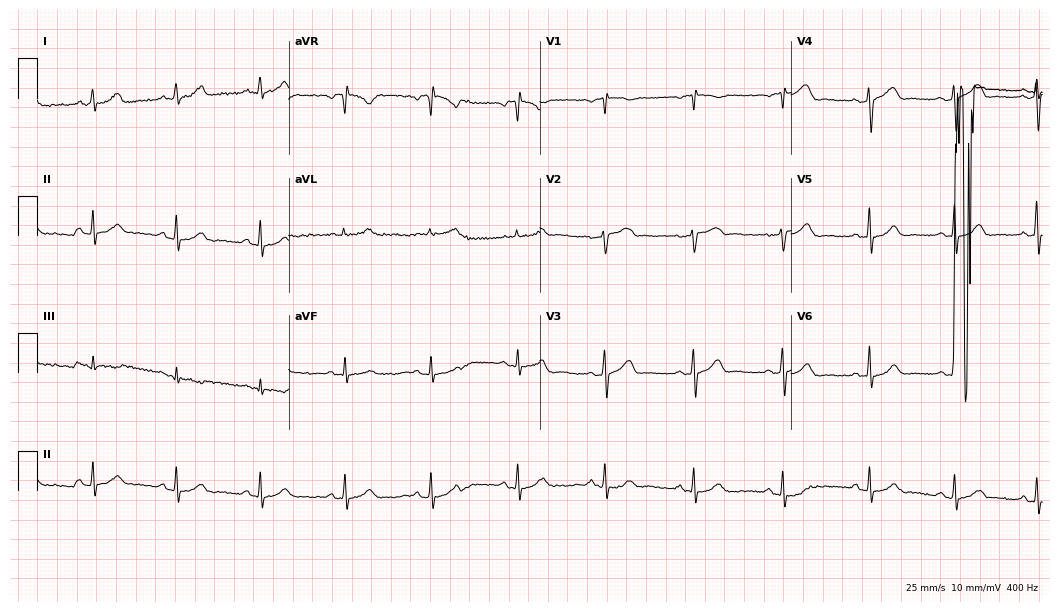
Resting 12-lead electrocardiogram. Patient: a 36-year-old woman. Read as a normal ECG.